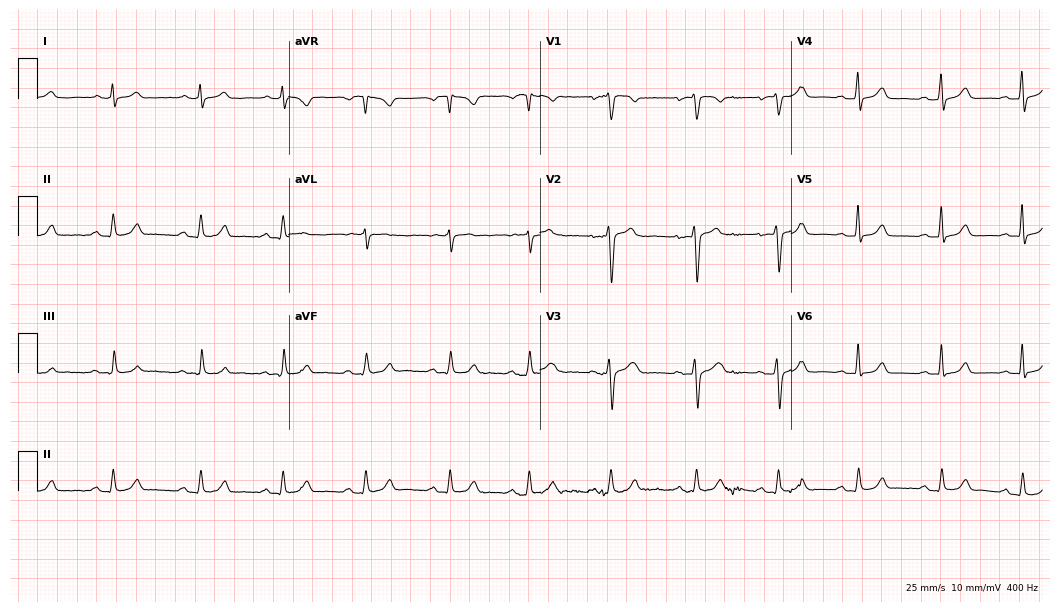
Resting 12-lead electrocardiogram (10.2-second recording at 400 Hz). Patient: a woman, 39 years old. Read as a normal ECG.